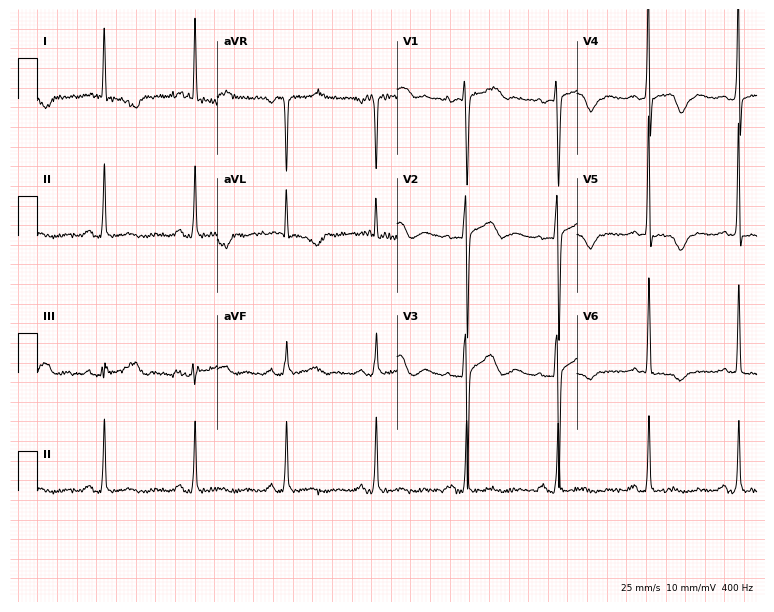
Resting 12-lead electrocardiogram. Patient: a woman, 71 years old. Read as a normal ECG.